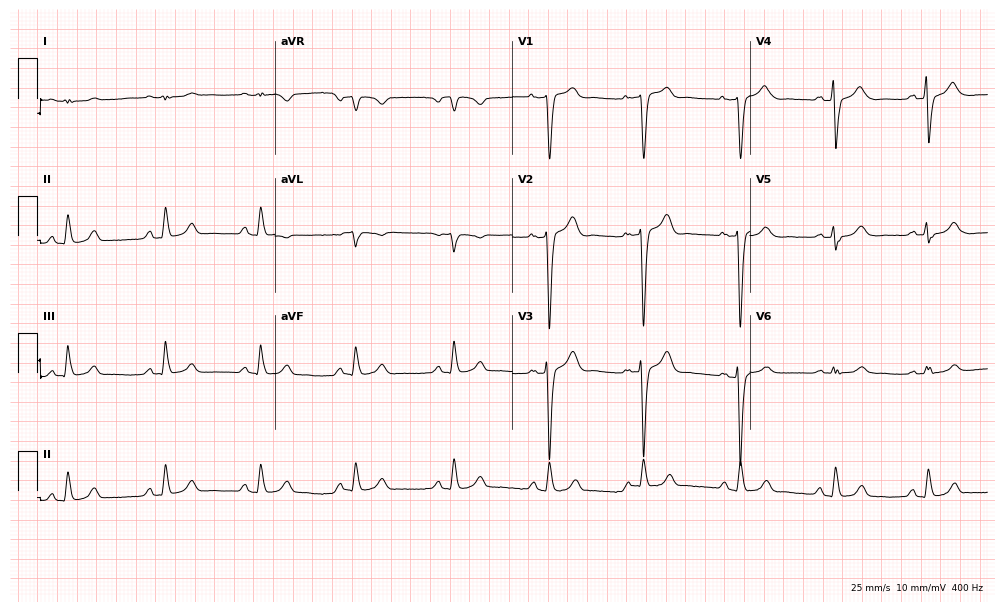
Resting 12-lead electrocardiogram. Patient: an 81-year-old man. None of these six findings is recorded: first-degree AV block, right bundle branch block, left bundle branch block, sinus bradycardia, atrial fibrillation, sinus tachycardia. Other findings, if any, are not listed.